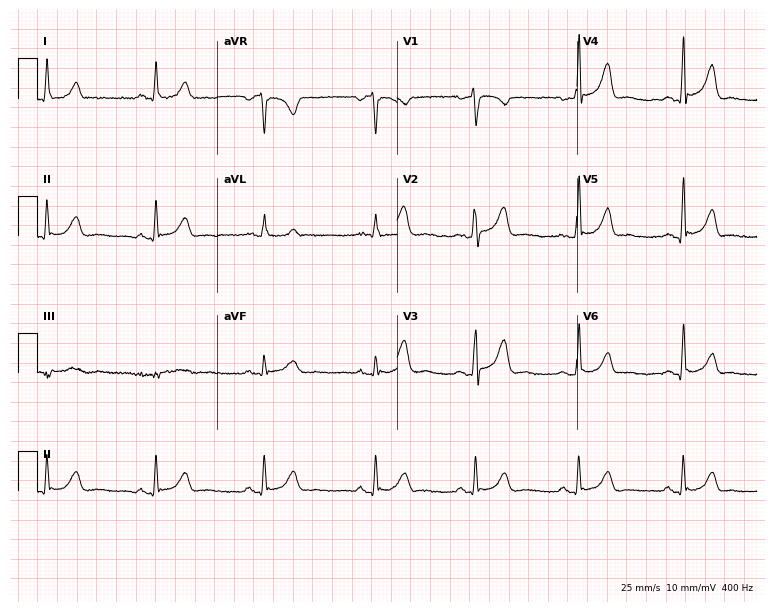
12-lead ECG from a 35-year-old woman. Labelled as a normal ECG.